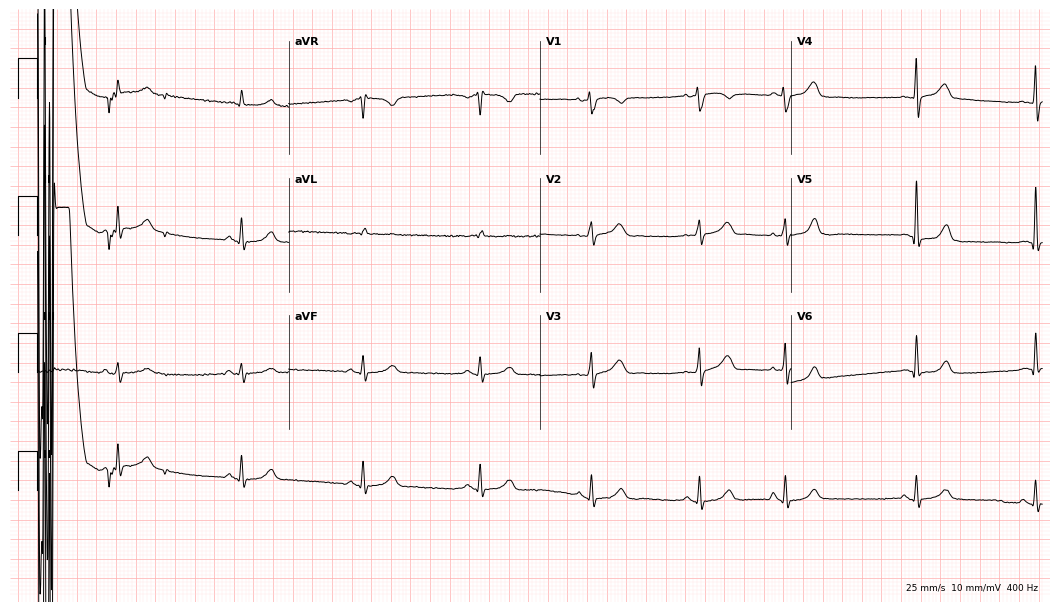
ECG — a male, 63 years old. Screened for six findings — first-degree AV block, right bundle branch block, left bundle branch block, sinus bradycardia, atrial fibrillation, sinus tachycardia — none is recorded.